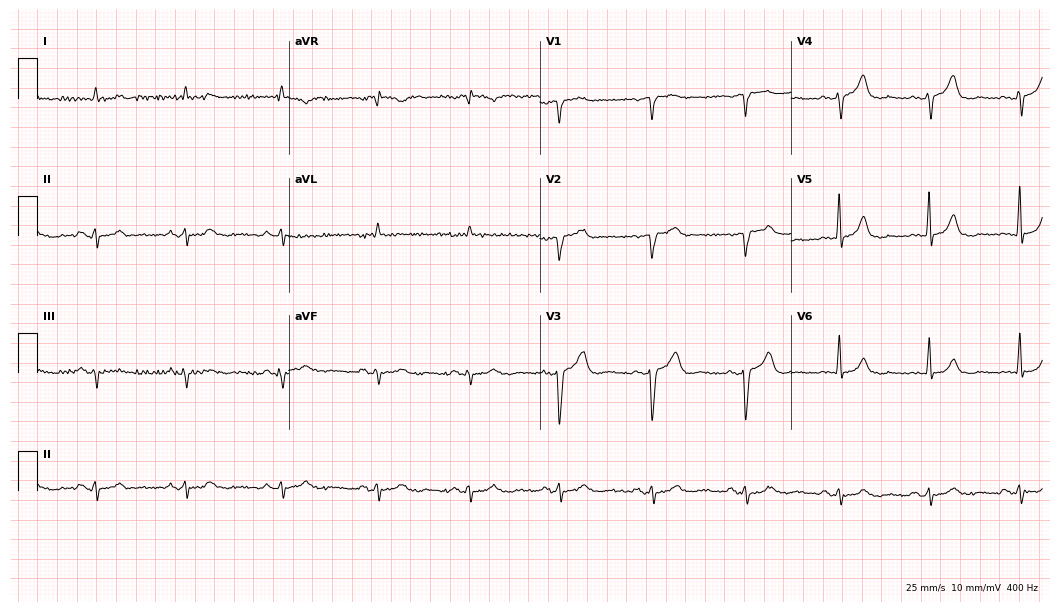
12-lead ECG from a 75-year-old male. Screened for six findings — first-degree AV block, right bundle branch block, left bundle branch block, sinus bradycardia, atrial fibrillation, sinus tachycardia — none is recorded. Findings outside these six are not listed.